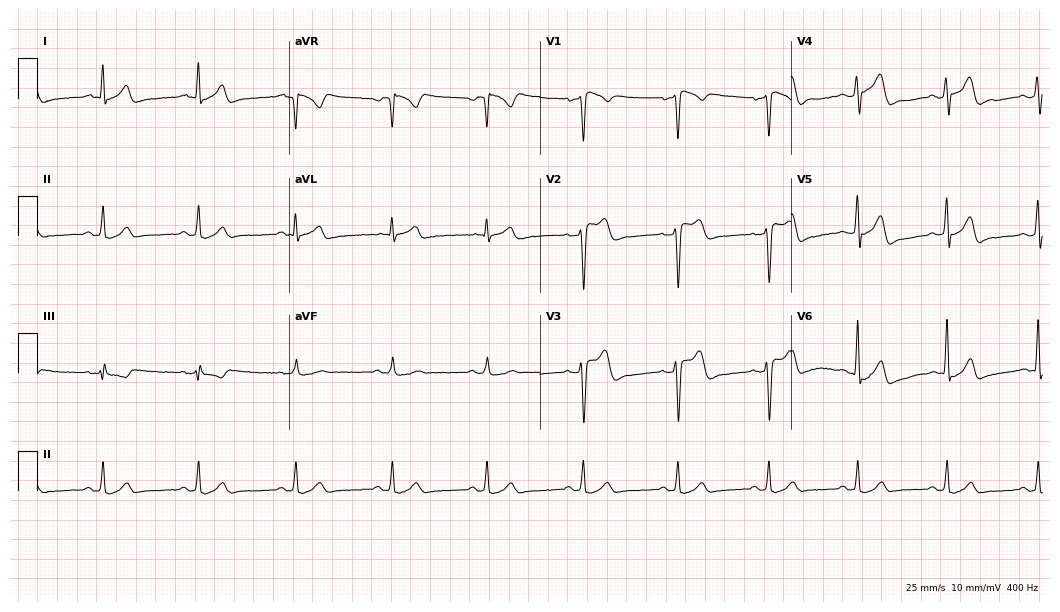
ECG (10.2-second recording at 400 Hz) — a 40-year-old man. Screened for six findings — first-degree AV block, right bundle branch block, left bundle branch block, sinus bradycardia, atrial fibrillation, sinus tachycardia — none is recorded.